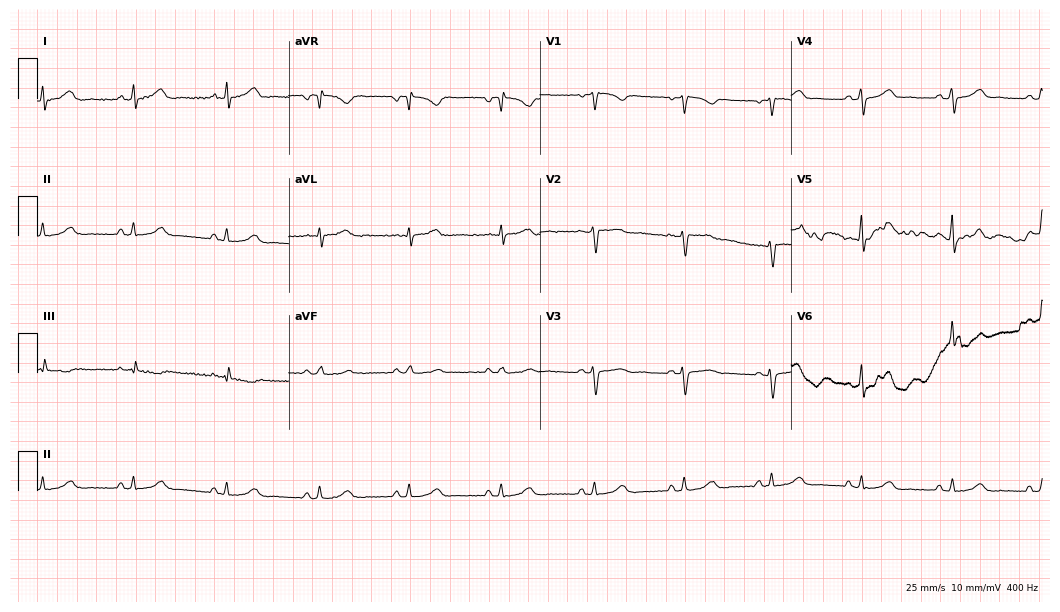
12-lead ECG (10.2-second recording at 400 Hz) from a female patient, 41 years old. Labelled as a normal ECG.